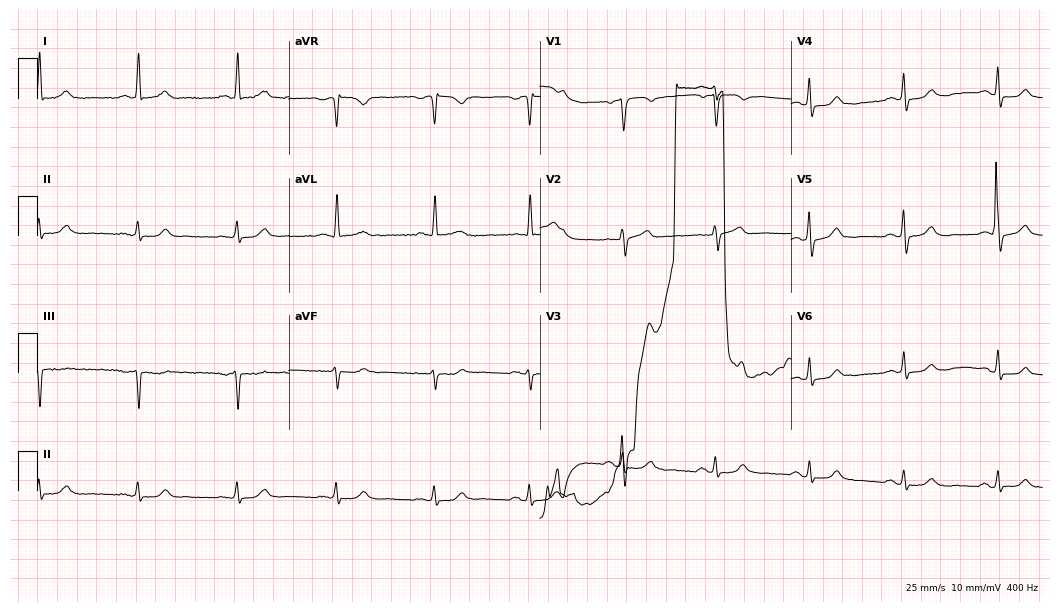
Electrocardiogram, a 70-year-old man. Overall reading on record: normal ECG.